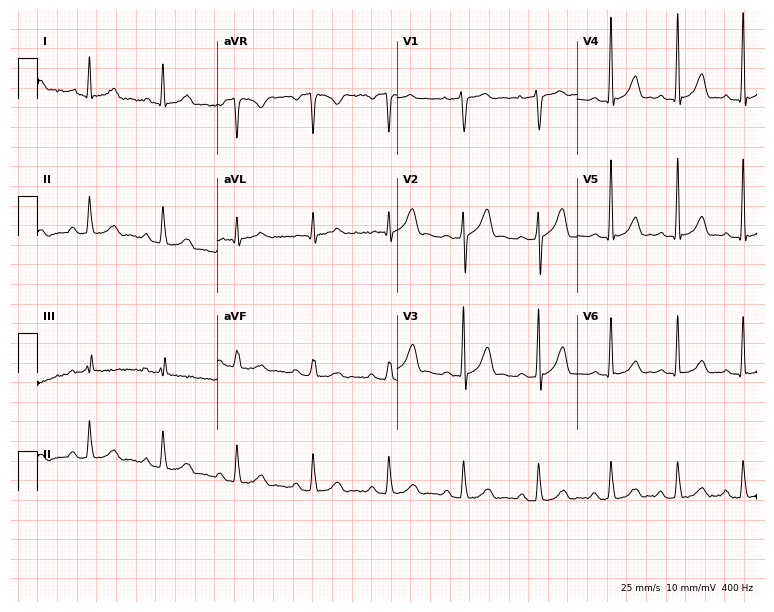
12-lead ECG (7.3-second recording at 400 Hz) from a male, 46 years old. Screened for six findings — first-degree AV block, right bundle branch block, left bundle branch block, sinus bradycardia, atrial fibrillation, sinus tachycardia — none is recorded.